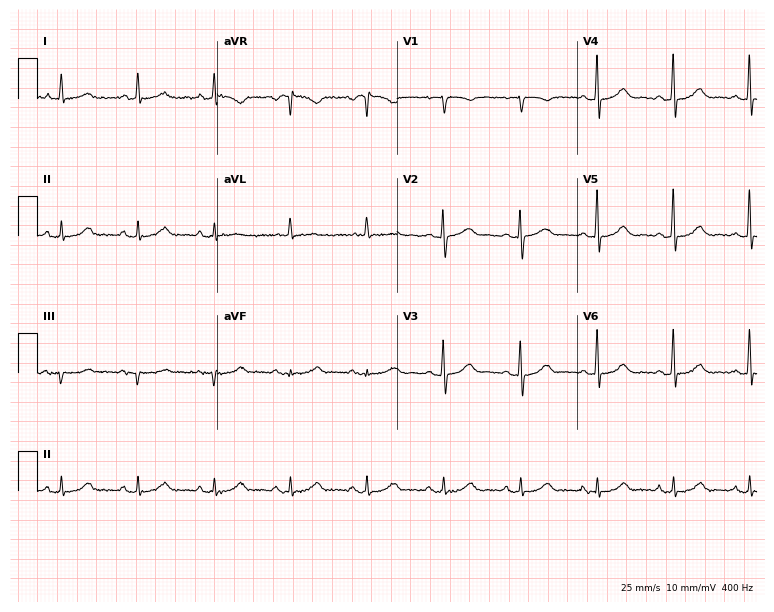
ECG (7.3-second recording at 400 Hz) — a 59-year-old female patient. Labelled as a normal ECG.